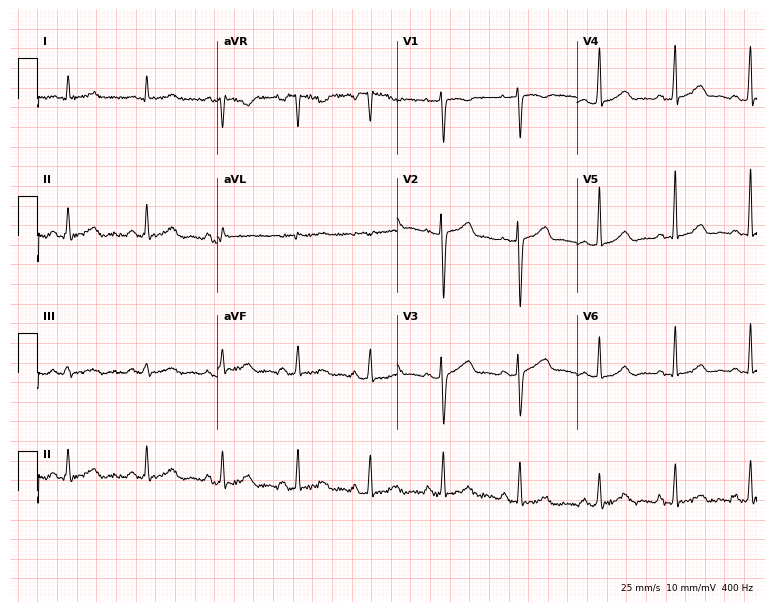
Standard 12-lead ECG recorded from a female, 33 years old (7.3-second recording at 400 Hz). Read as a normal ECG.